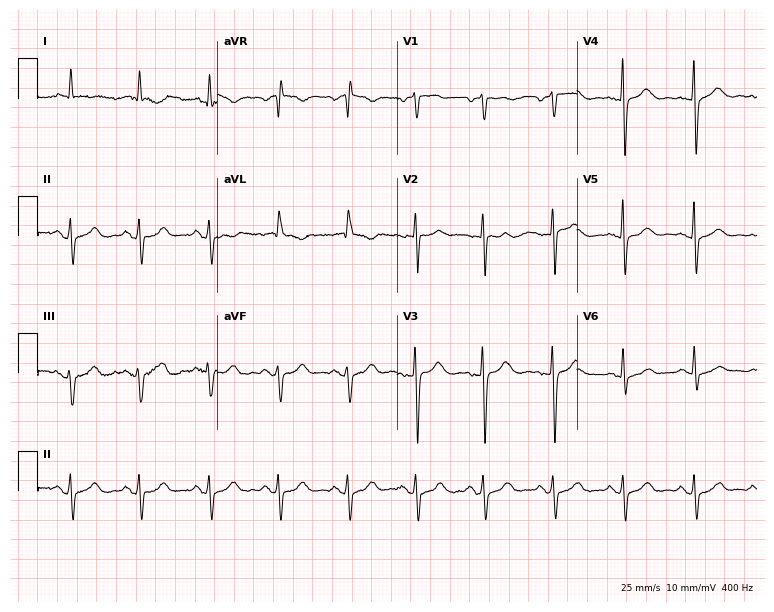
Electrocardiogram (7.3-second recording at 400 Hz), a female, 51 years old. Of the six screened findings (first-degree AV block, right bundle branch block, left bundle branch block, sinus bradycardia, atrial fibrillation, sinus tachycardia), none is recorded. Only these six findings were labelled.